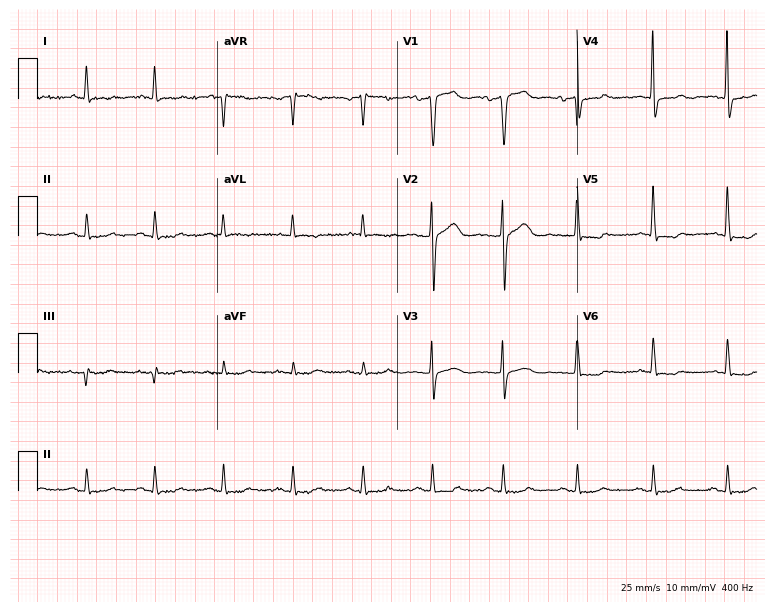
ECG — a 66-year-old male. Screened for six findings — first-degree AV block, right bundle branch block, left bundle branch block, sinus bradycardia, atrial fibrillation, sinus tachycardia — none is recorded. Findings outside these six are not listed.